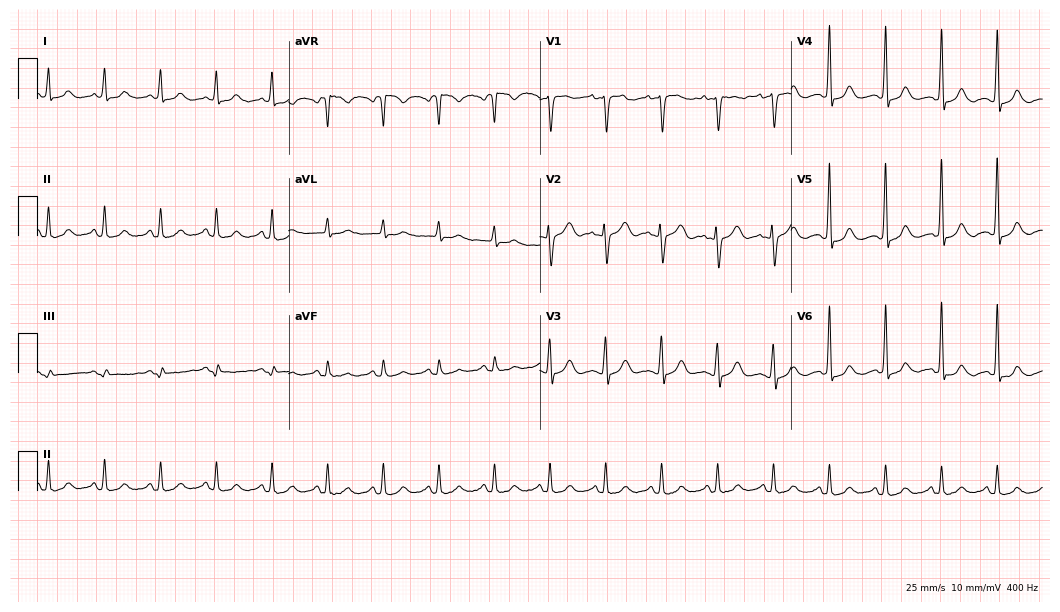
ECG — a female, 64 years old. Findings include sinus tachycardia (a sinus rate of 100 beats per minute or more).